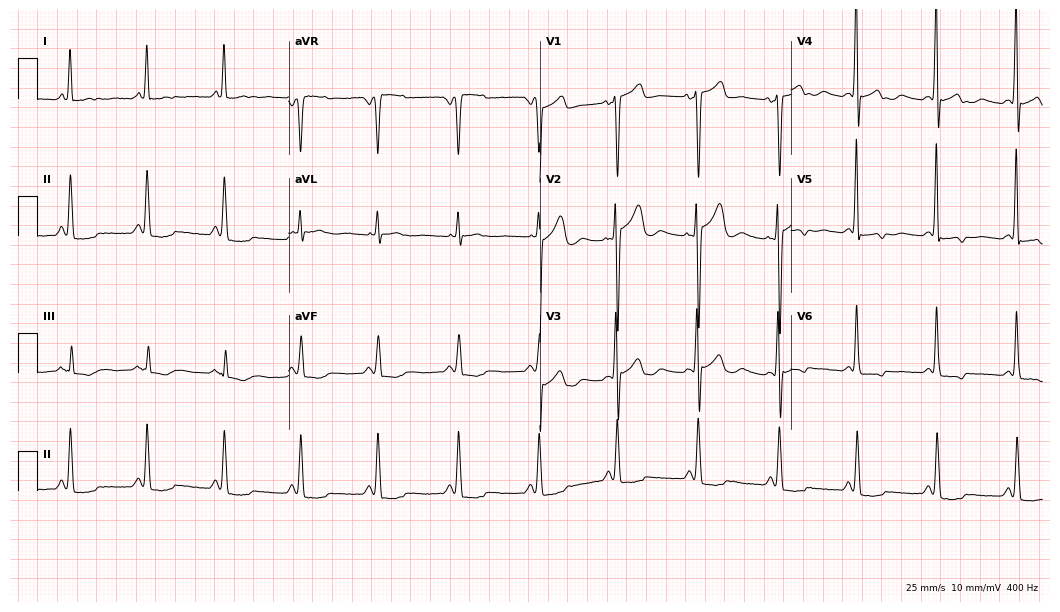
Standard 12-lead ECG recorded from a 52-year-old male (10.2-second recording at 400 Hz). None of these six findings is recorded: first-degree AV block, right bundle branch block, left bundle branch block, sinus bradycardia, atrial fibrillation, sinus tachycardia.